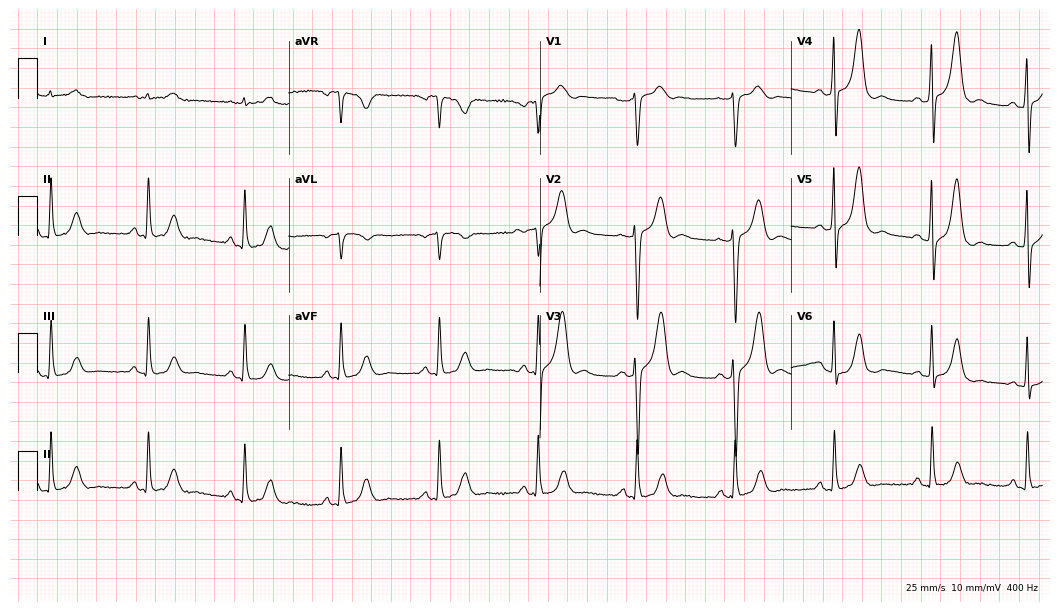
Standard 12-lead ECG recorded from a man, 70 years old (10.2-second recording at 400 Hz). None of these six findings is recorded: first-degree AV block, right bundle branch block, left bundle branch block, sinus bradycardia, atrial fibrillation, sinus tachycardia. Other findings, if any, are not listed.